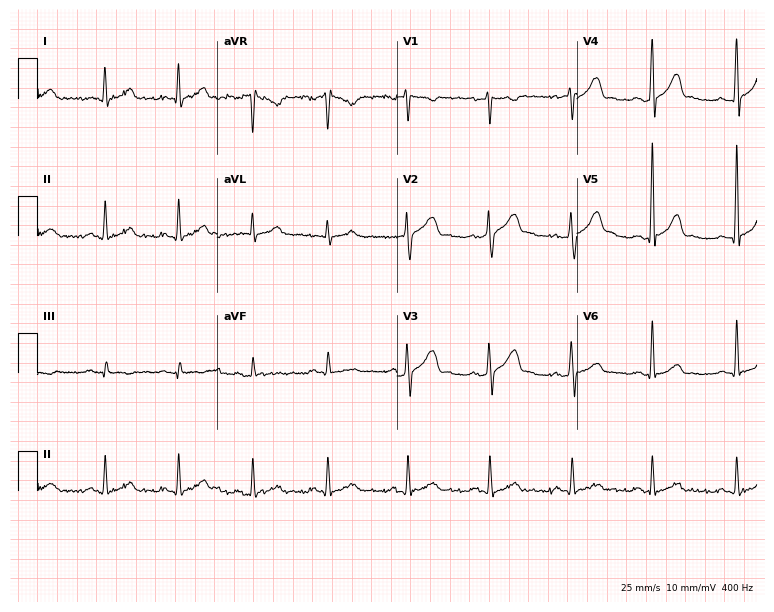
Standard 12-lead ECG recorded from a 45-year-old male. Read as a normal ECG.